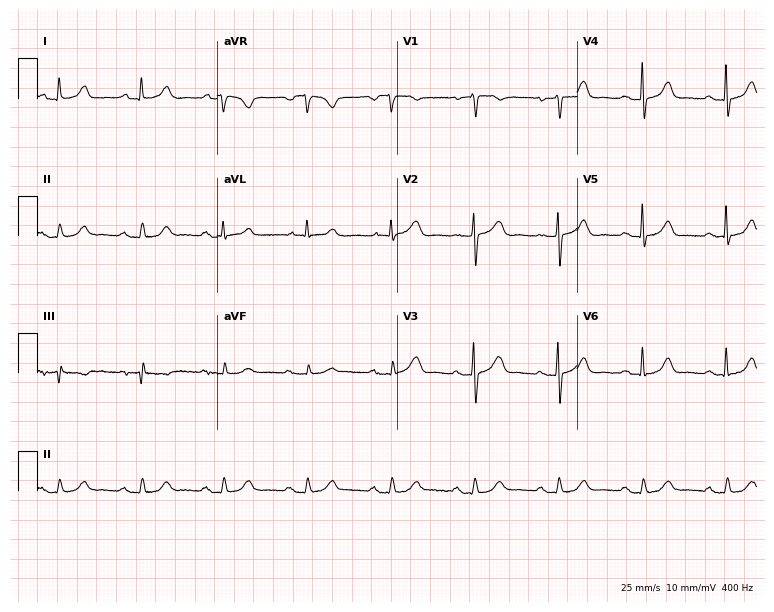
12-lead ECG (7.3-second recording at 400 Hz) from a female, 67 years old. Labelled as a normal ECG.